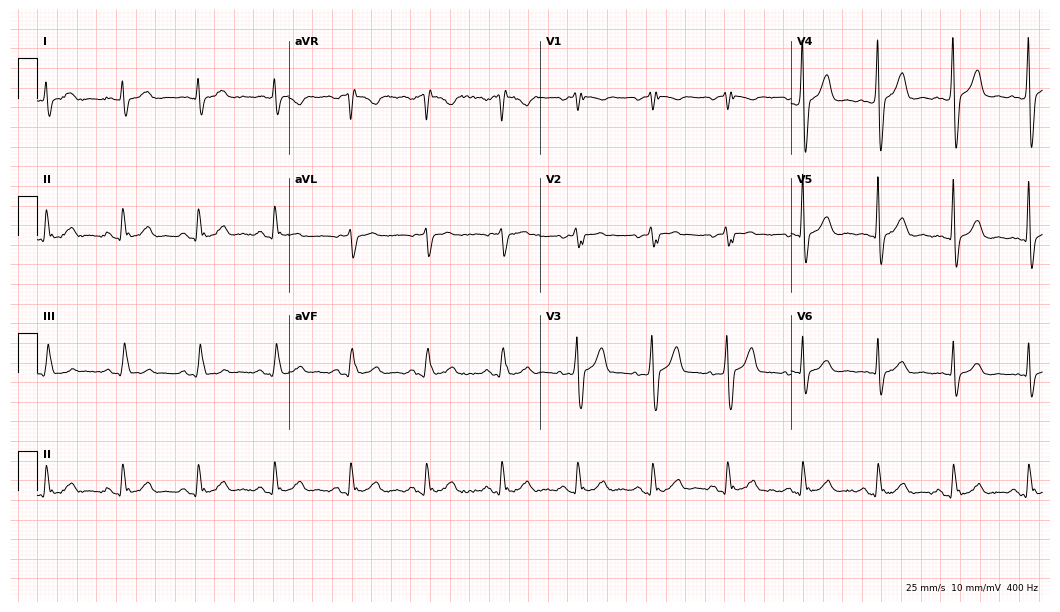
Standard 12-lead ECG recorded from a 72-year-old male patient. None of these six findings is recorded: first-degree AV block, right bundle branch block, left bundle branch block, sinus bradycardia, atrial fibrillation, sinus tachycardia. Only these six findings were labelled.